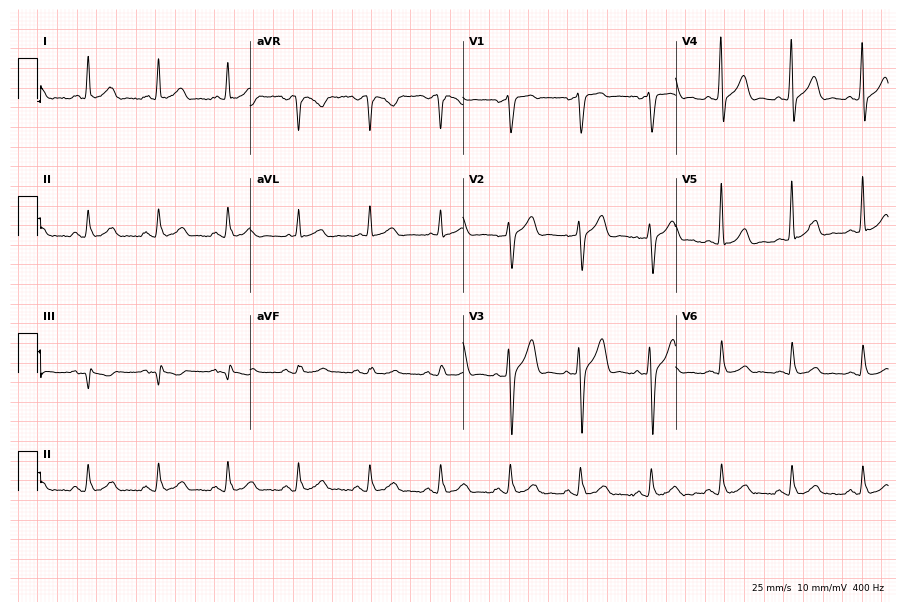
ECG (8.7-second recording at 400 Hz) — a man, 55 years old. Screened for six findings — first-degree AV block, right bundle branch block, left bundle branch block, sinus bradycardia, atrial fibrillation, sinus tachycardia — none is recorded. Other findings, if any, are not listed.